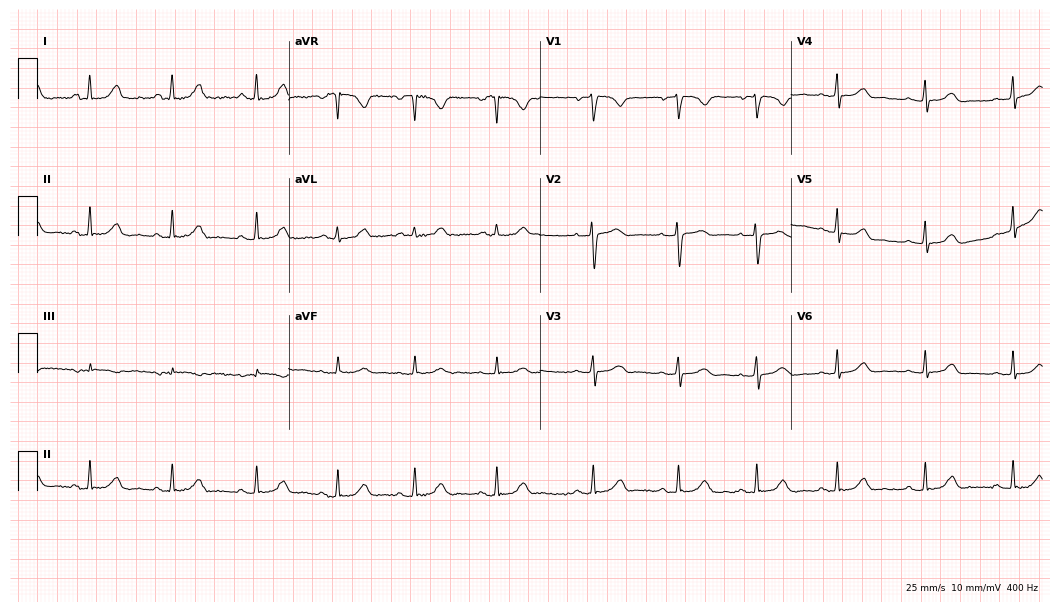
ECG (10.2-second recording at 400 Hz) — a female, 44 years old. Labelled as a normal ECG.